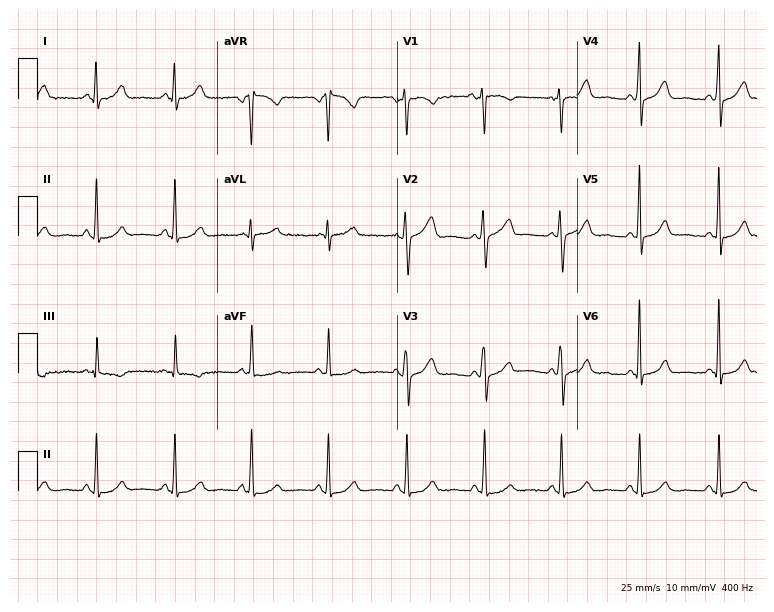
ECG — a woman, 41 years old. Labelled as a normal ECG.